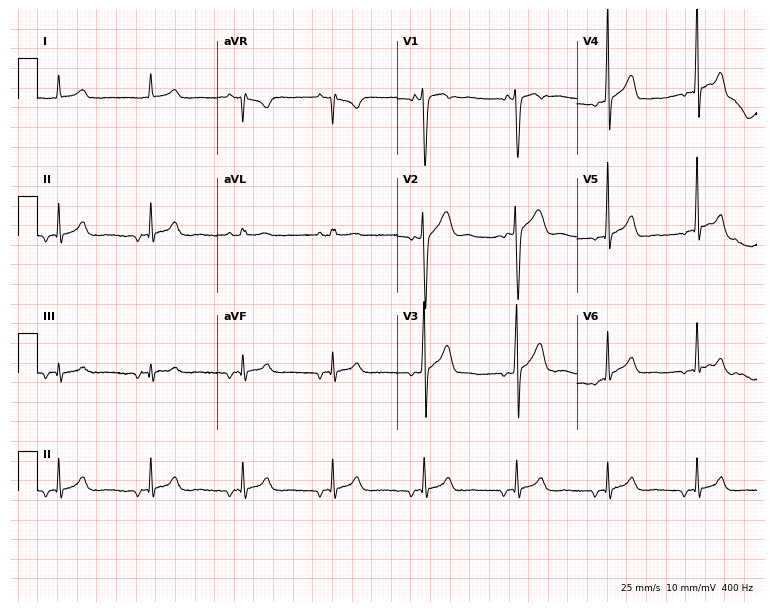
Standard 12-lead ECG recorded from a 30-year-old male. None of these six findings is recorded: first-degree AV block, right bundle branch block (RBBB), left bundle branch block (LBBB), sinus bradycardia, atrial fibrillation (AF), sinus tachycardia.